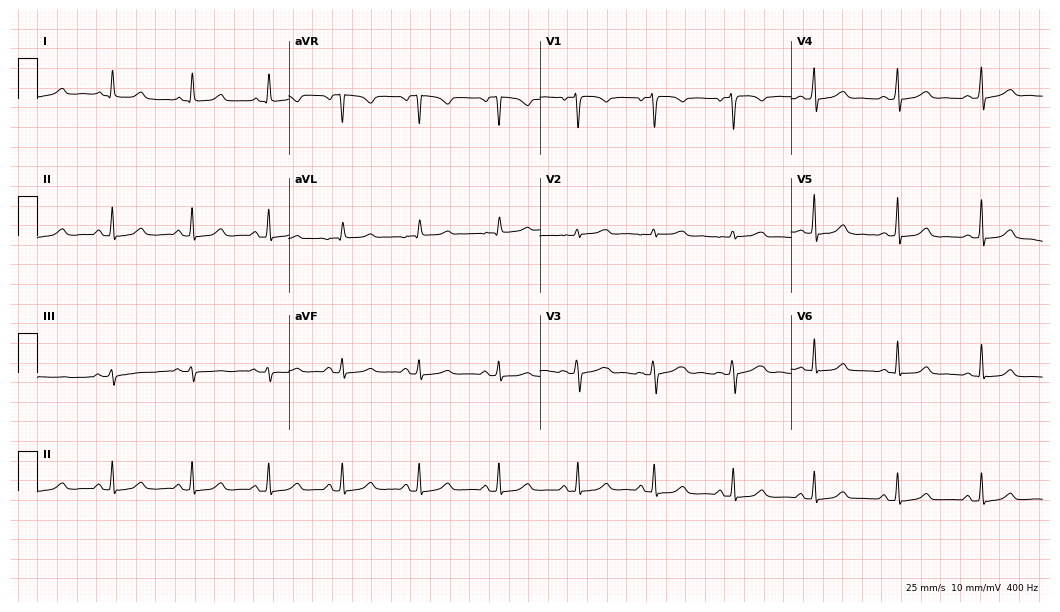
Electrocardiogram, a female patient, 44 years old. Overall reading on record: normal ECG.